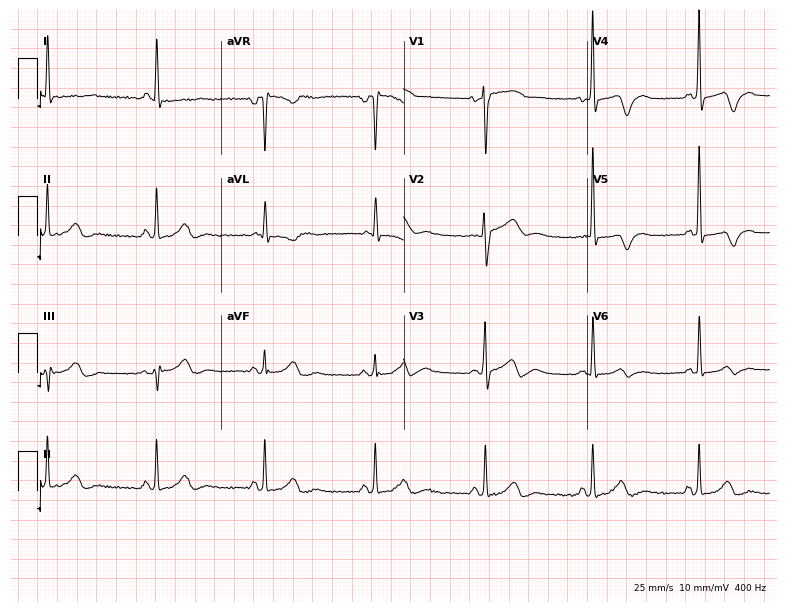
12-lead ECG (7.5-second recording at 400 Hz) from a woman, 67 years old. Screened for six findings — first-degree AV block, right bundle branch block, left bundle branch block, sinus bradycardia, atrial fibrillation, sinus tachycardia — none is recorded. Other findings, if any, are not listed.